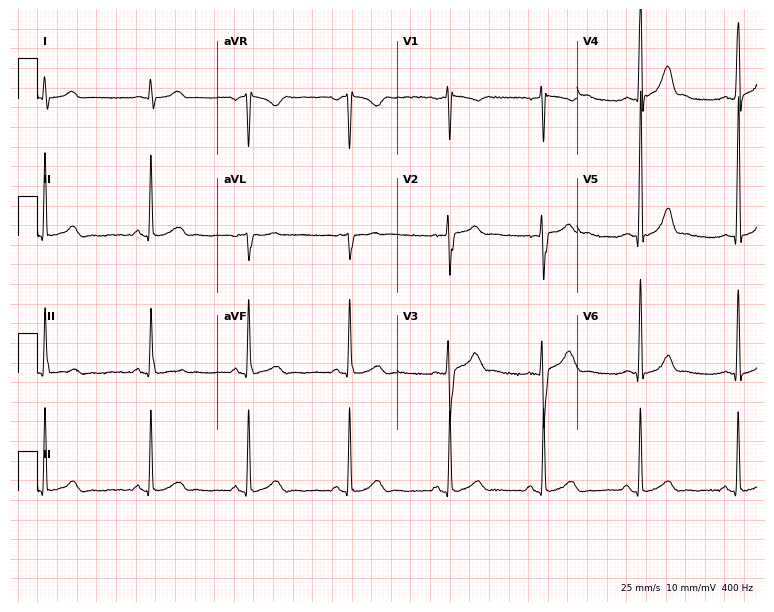
Electrocardiogram (7.3-second recording at 400 Hz), a 29-year-old male patient. Overall reading on record: normal ECG.